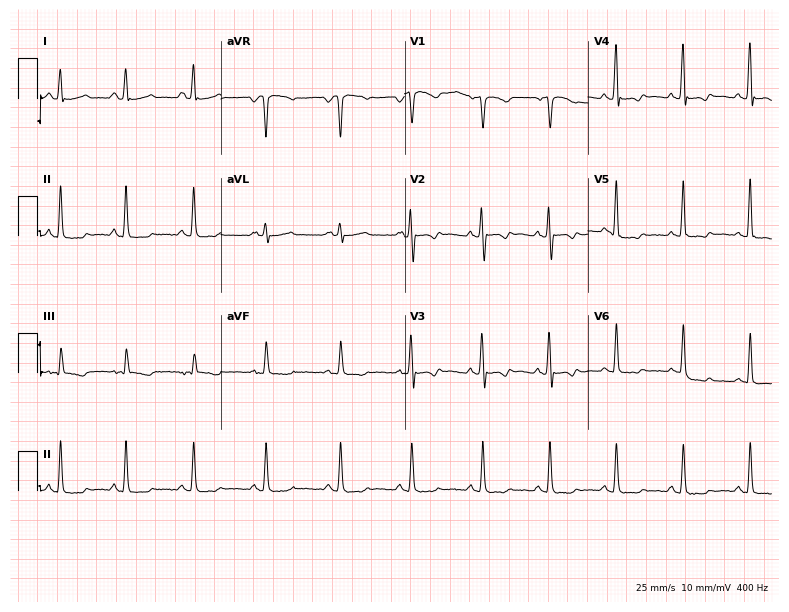
Electrocardiogram, a 31-year-old woman. Of the six screened findings (first-degree AV block, right bundle branch block, left bundle branch block, sinus bradycardia, atrial fibrillation, sinus tachycardia), none is recorded.